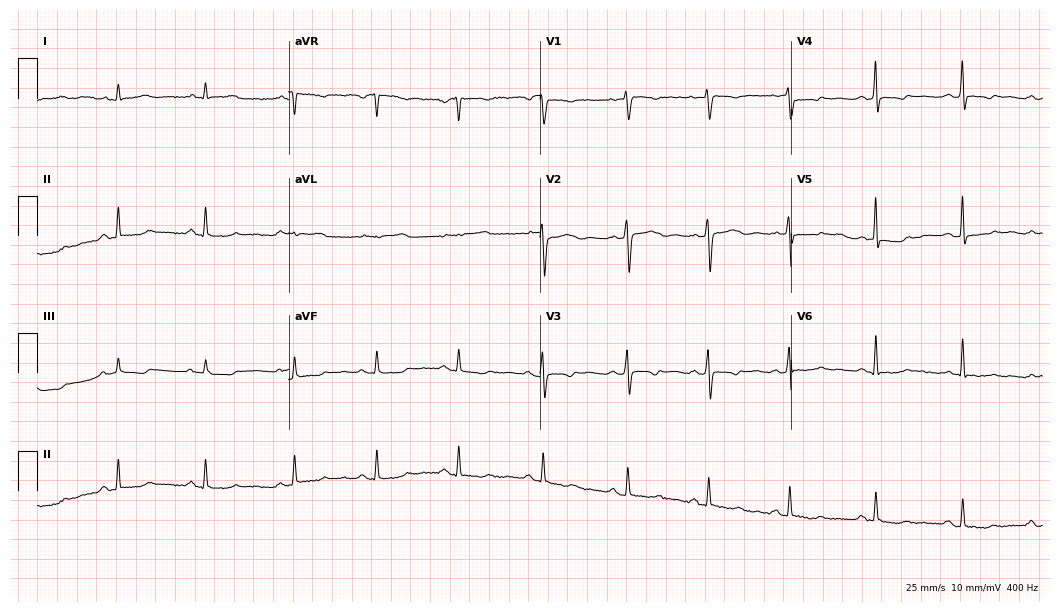
Electrocardiogram, a 41-year-old female. Of the six screened findings (first-degree AV block, right bundle branch block, left bundle branch block, sinus bradycardia, atrial fibrillation, sinus tachycardia), none is recorded.